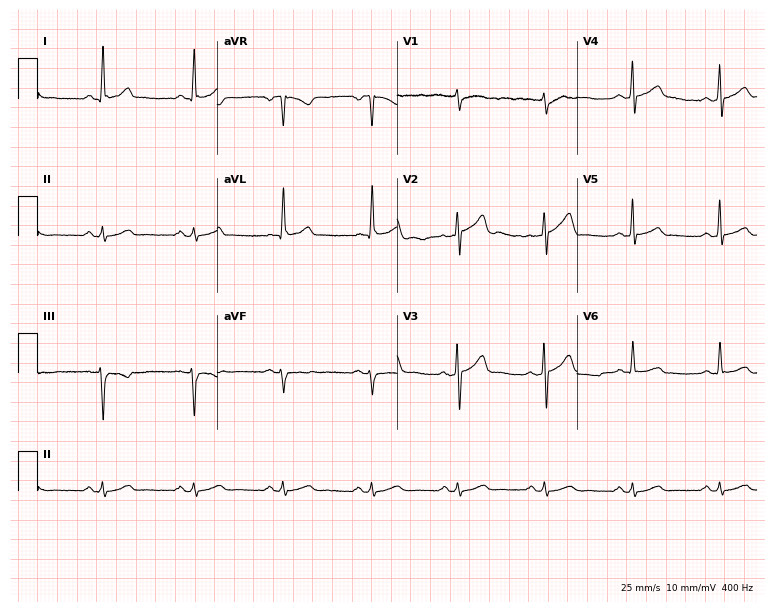
ECG — a 49-year-old man. Labelled as a normal ECG.